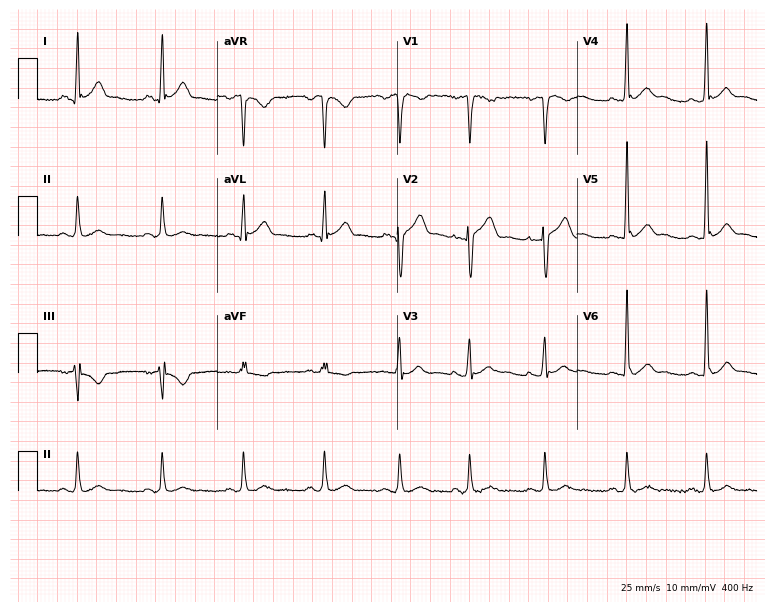
Resting 12-lead electrocardiogram. Patient: a 38-year-old man. None of these six findings is recorded: first-degree AV block, right bundle branch block (RBBB), left bundle branch block (LBBB), sinus bradycardia, atrial fibrillation (AF), sinus tachycardia.